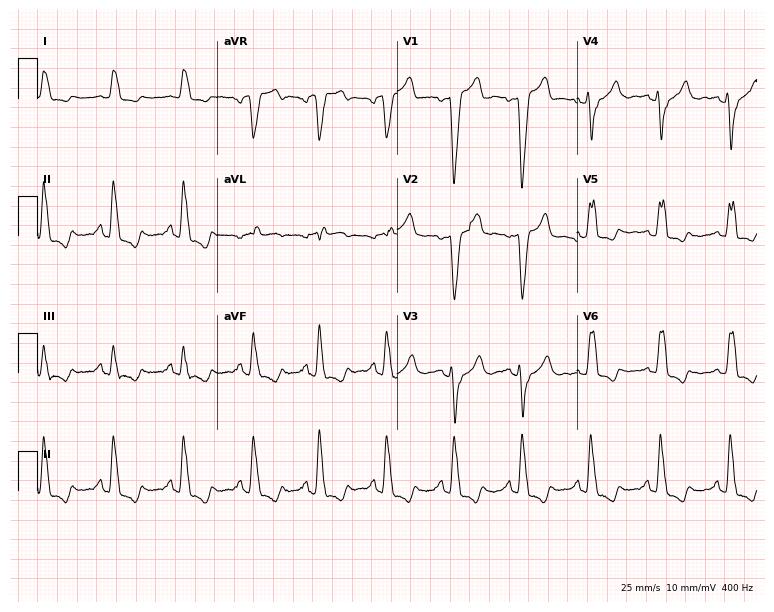
Electrocardiogram (7.3-second recording at 400 Hz), a 63-year-old female patient. Of the six screened findings (first-degree AV block, right bundle branch block, left bundle branch block, sinus bradycardia, atrial fibrillation, sinus tachycardia), none is recorded. Only these six findings were labelled.